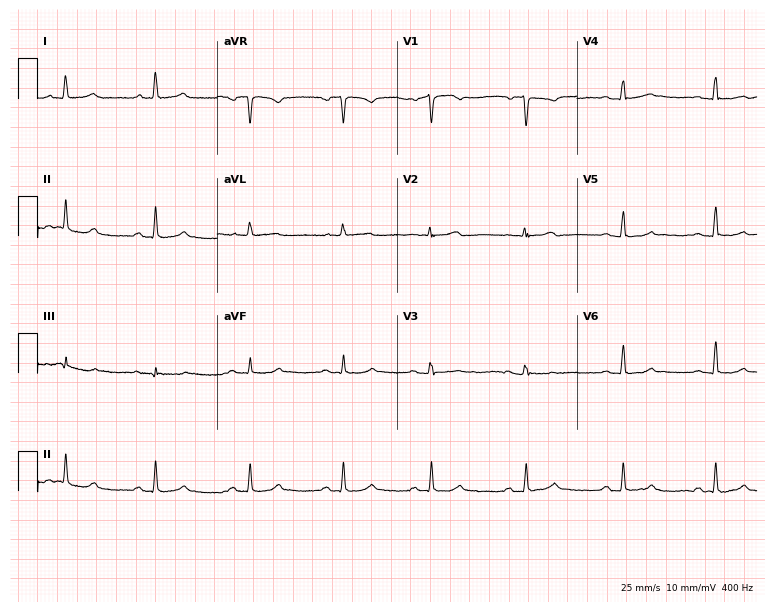
12-lead ECG (7.3-second recording at 400 Hz) from a female patient, 55 years old. Labelled as a normal ECG.